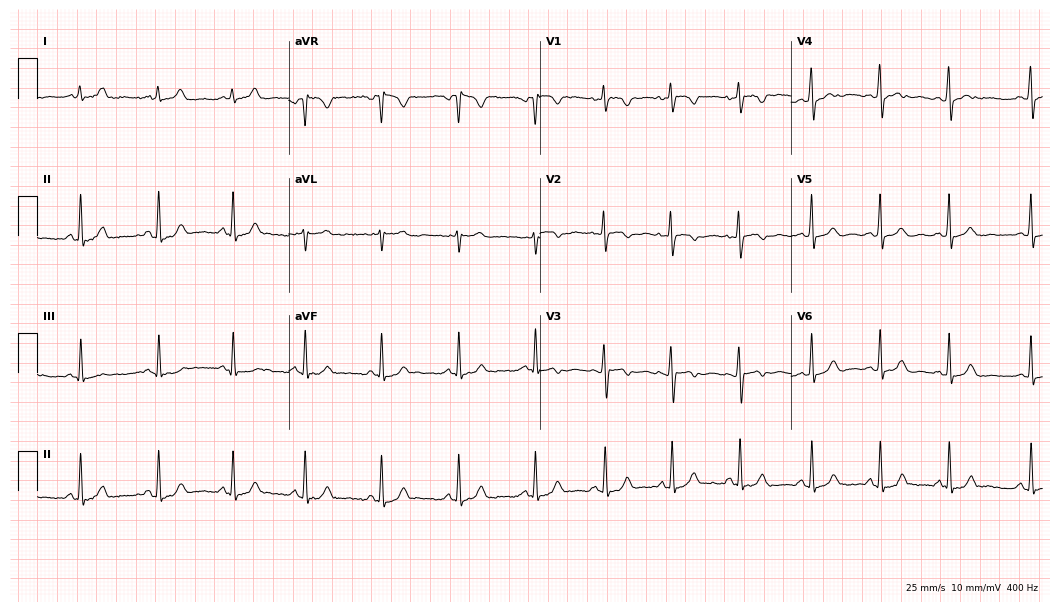
ECG — a female patient, 26 years old. Labelled as a normal ECG.